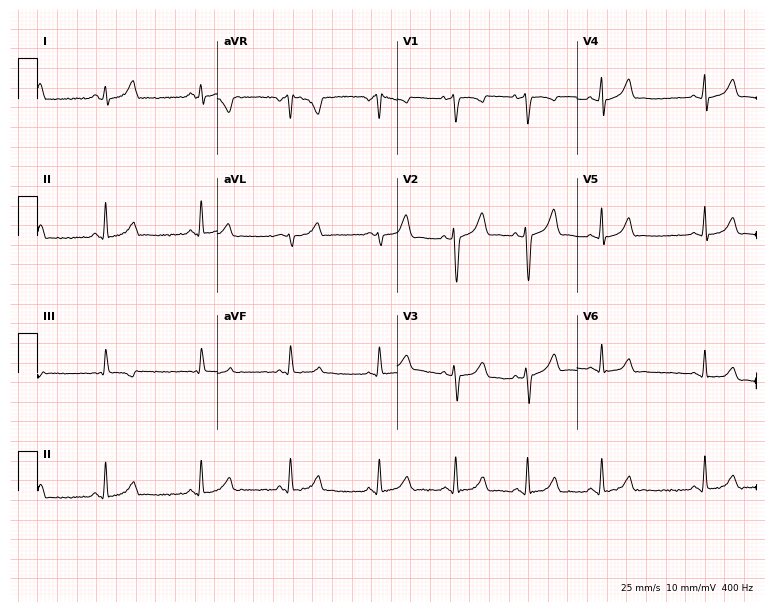
ECG (7.3-second recording at 400 Hz) — a female patient, 27 years old. Screened for six findings — first-degree AV block, right bundle branch block, left bundle branch block, sinus bradycardia, atrial fibrillation, sinus tachycardia — none is recorded.